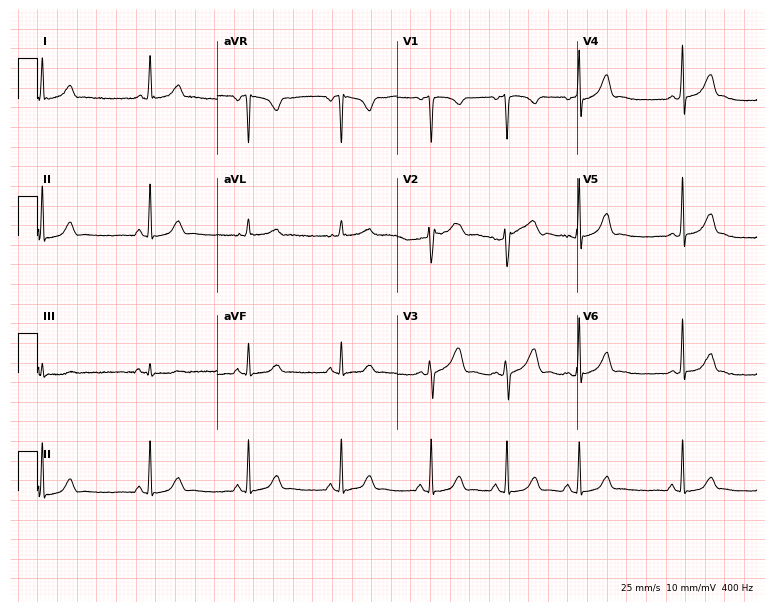
Standard 12-lead ECG recorded from a 21-year-old female. Read as a normal ECG.